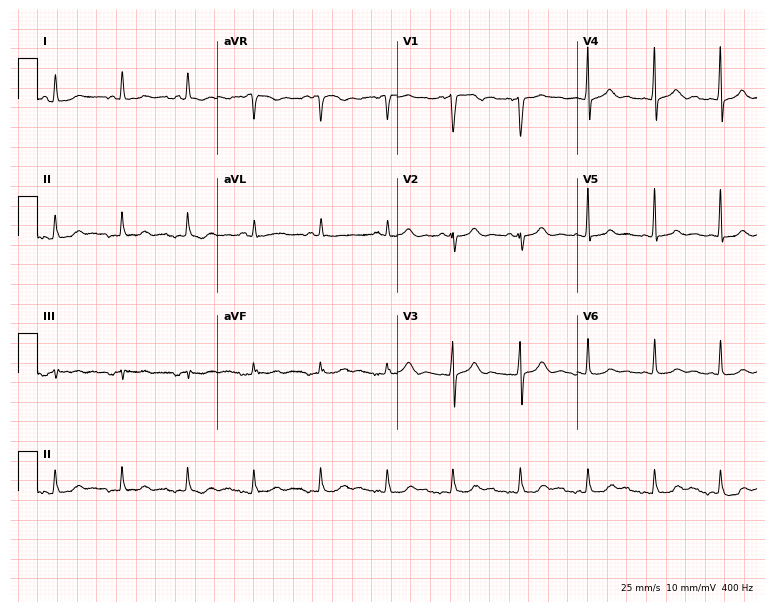
Resting 12-lead electrocardiogram. Patient: a female, 49 years old. Read as a normal ECG.